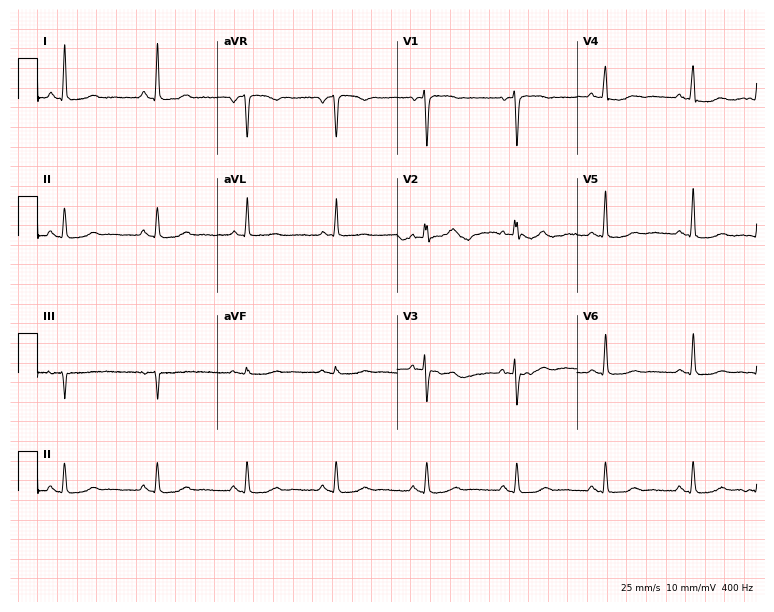
Resting 12-lead electrocardiogram (7.3-second recording at 400 Hz). Patient: a woman, 60 years old. Read as a normal ECG.